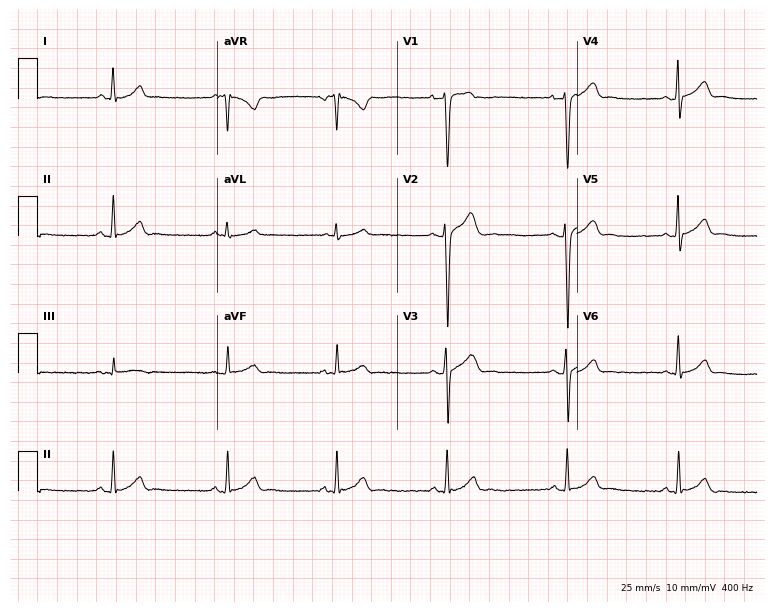
Resting 12-lead electrocardiogram (7.3-second recording at 400 Hz). Patient: a male, 20 years old. Read as a normal ECG.